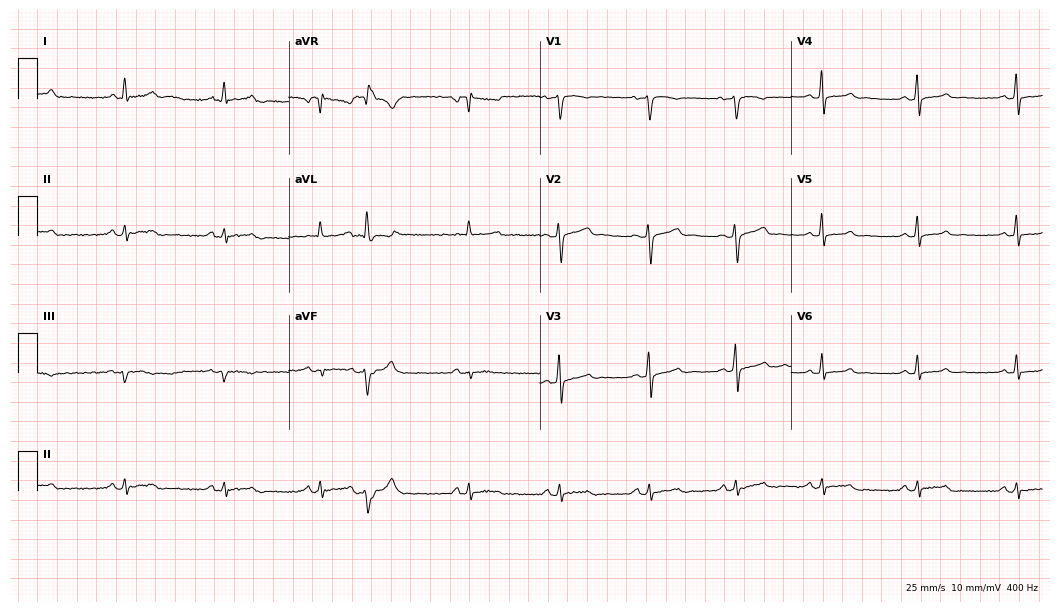
Resting 12-lead electrocardiogram. Patient: a female, 43 years old. None of these six findings is recorded: first-degree AV block, right bundle branch block, left bundle branch block, sinus bradycardia, atrial fibrillation, sinus tachycardia.